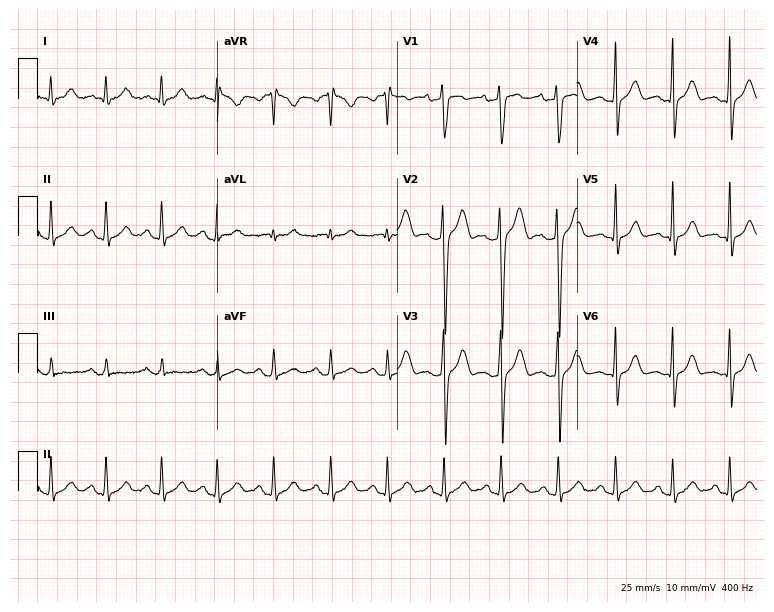
12-lead ECG (7.3-second recording at 400 Hz) from a male, 21 years old. Labelled as a normal ECG.